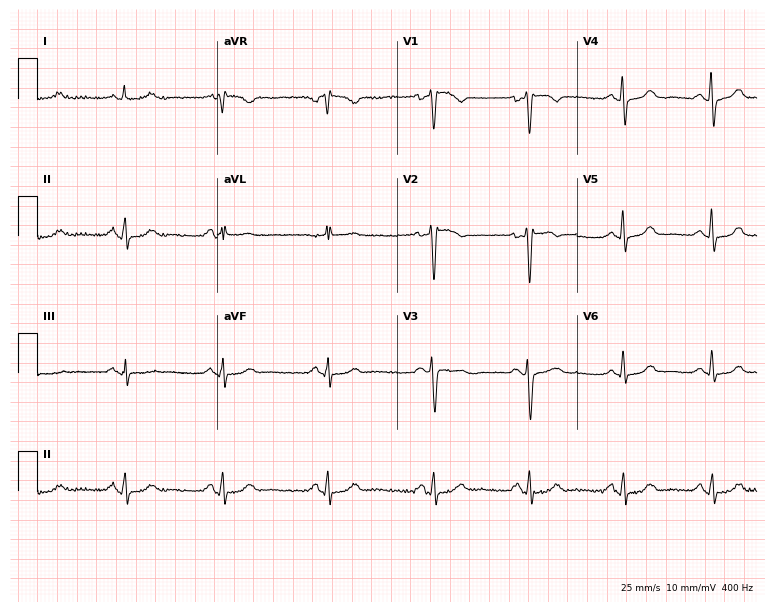
Electrocardiogram, a 46-year-old female. Of the six screened findings (first-degree AV block, right bundle branch block (RBBB), left bundle branch block (LBBB), sinus bradycardia, atrial fibrillation (AF), sinus tachycardia), none is recorded.